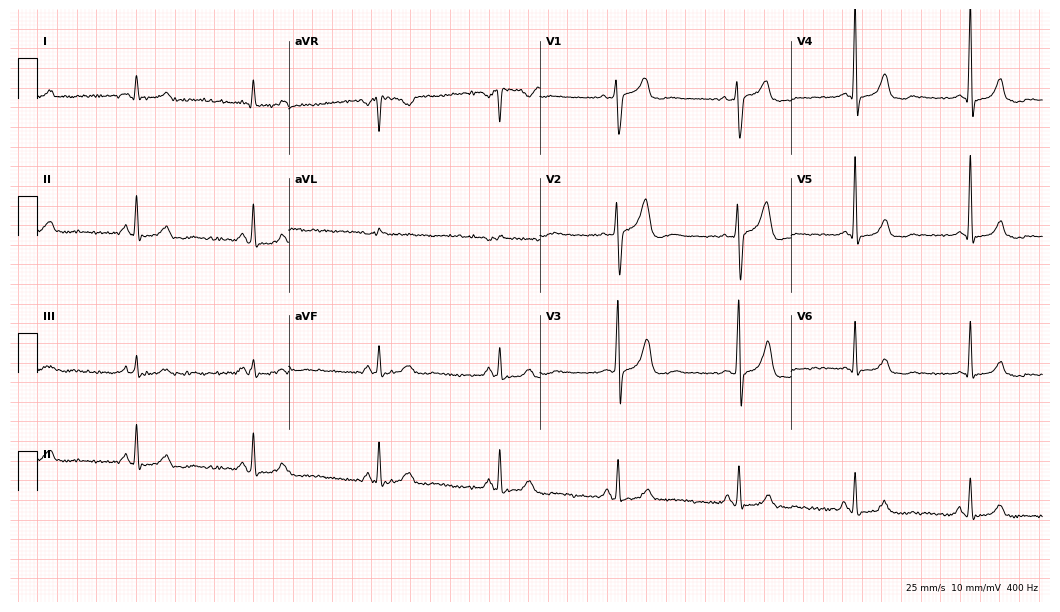
Resting 12-lead electrocardiogram (10.2-second recording at 400 Hz). Patient: a 64-year-old male. The tracing shows sinus bradycardia (a sinus rate of 50 beats per minute or less).